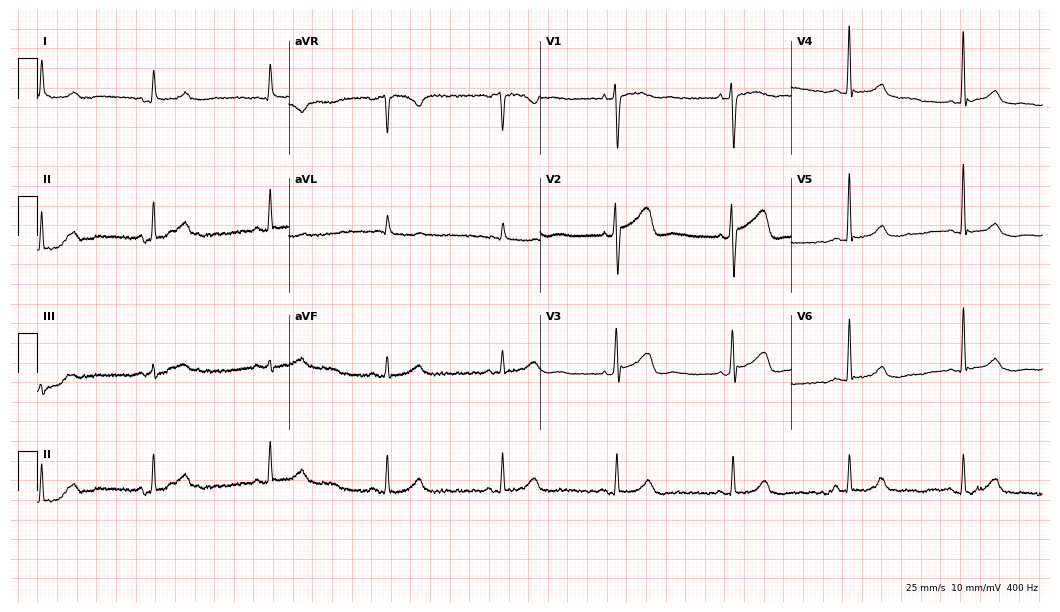
12-lead ECG from a female, 61 years old. Labelled as a normal ECG.